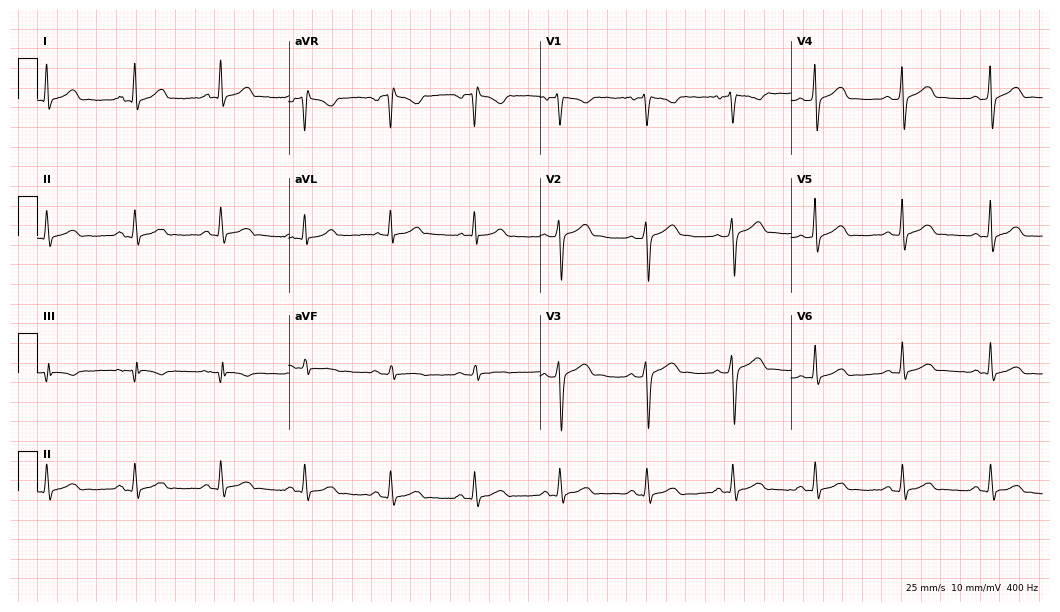
ECG — a male patient, 17 years old. Labelled as a normal ECG.